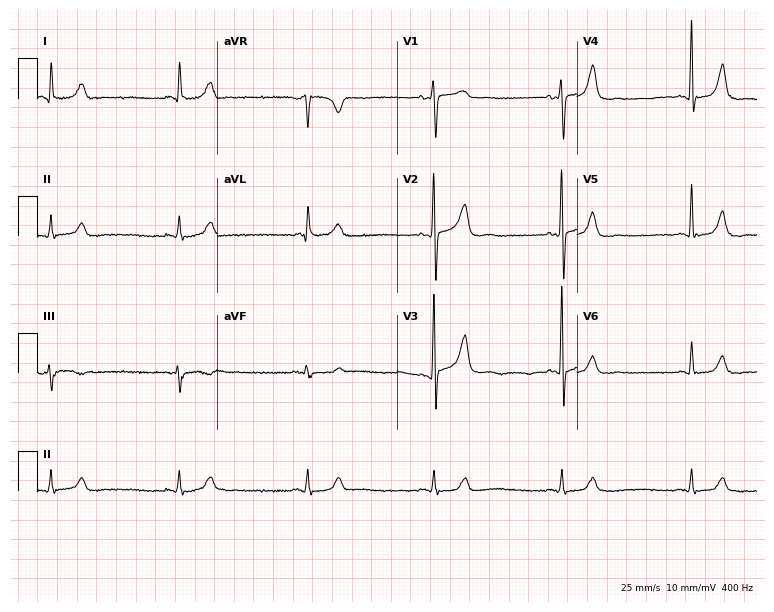
12-lead ECG from a male, 70 years old. Findings include sinus bradycardia (a sinus rate of 50 beats per minute or less).